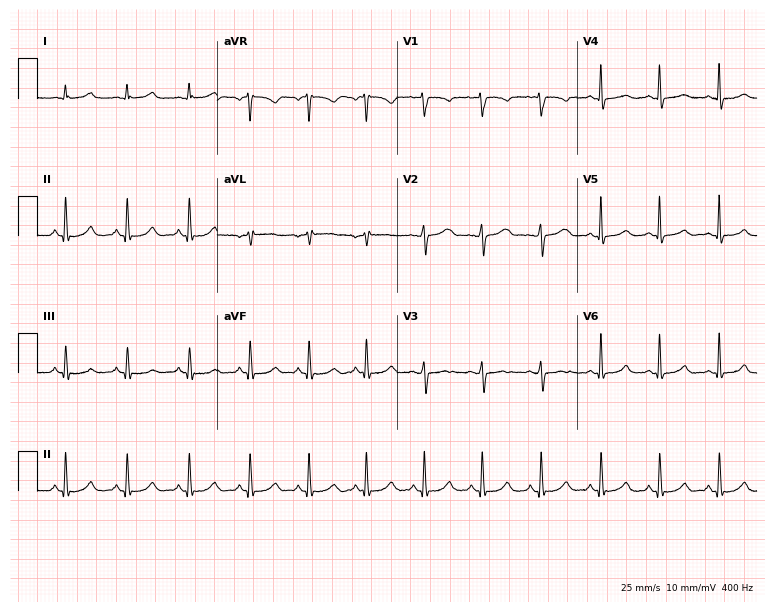
12-lead ECG from a female patient, 41 years old. No first-degree AV block, right bundle branch block, left bundle branch block, sinus bradycardia, atrial fibrillation or sinus tachycardia recorded for this tracing.